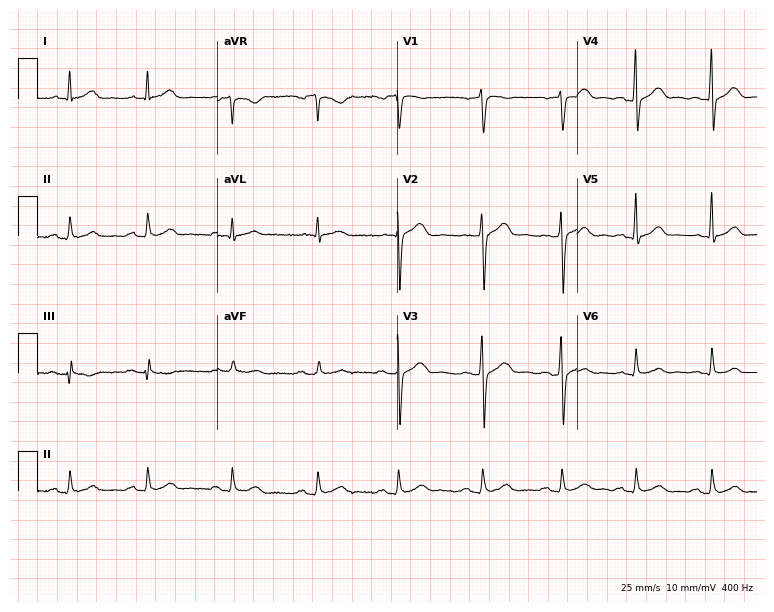
12-lead ECG (7.3-second recording at 400 Hz) from a man, 51 years old. Labelled as a normal ECG.